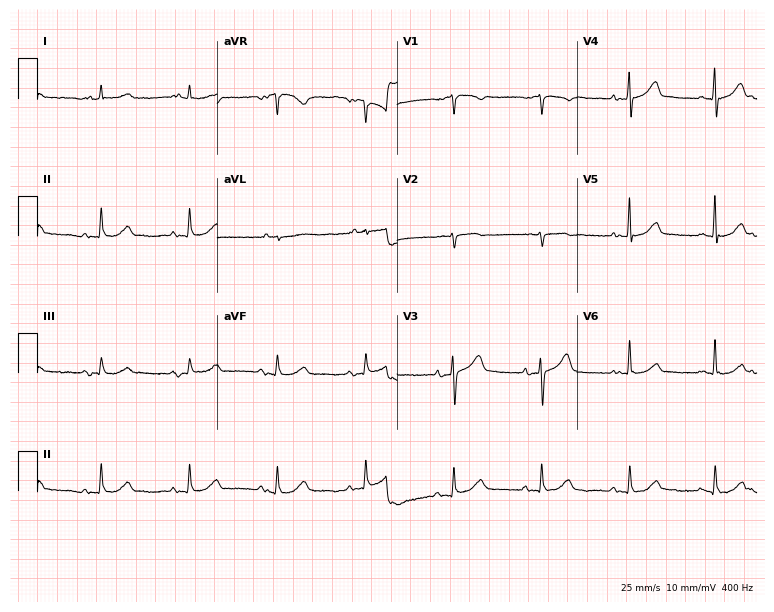
ECG (7.3-second recording at 400 Hz) — a 69-year-old man. Labelled as a normal ECG.